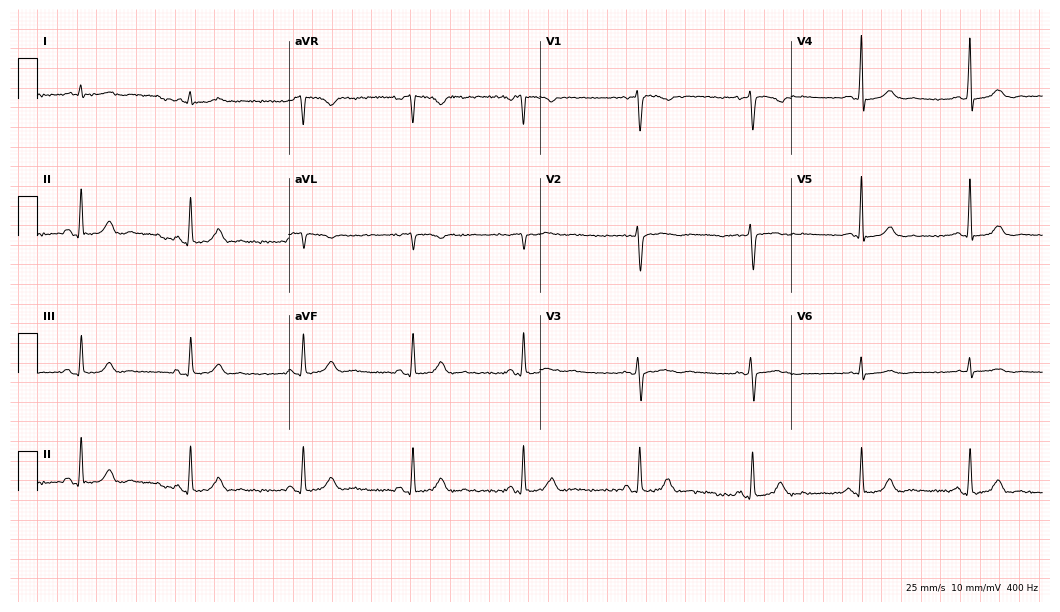
ECG (10.2-second recording at 400 Hz) — a 44-year-old female patient. Screened for six findings — first-degree AV block, right bundle branch block, left bundle branch block, sinus bradycardia, atrial fibrillation, sinus tachycardia — none is recorded.